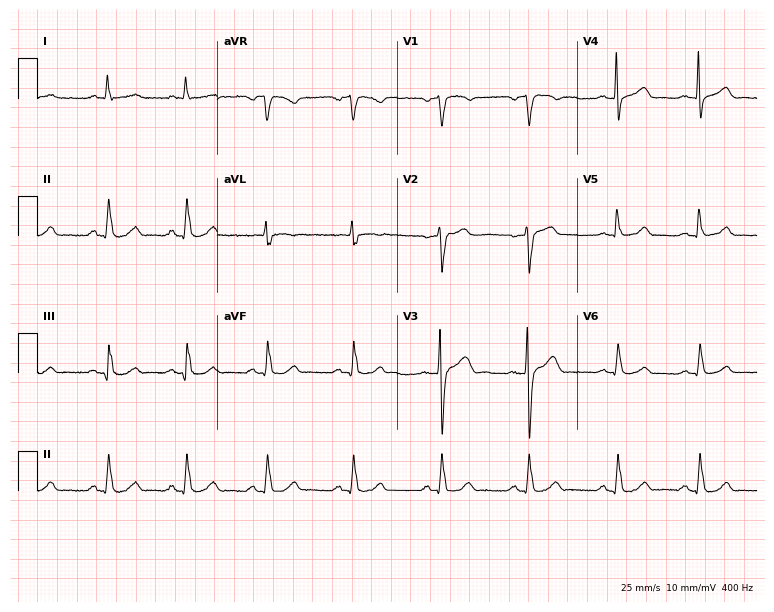
ECG (7.3-second recording at 400 Hz) — a male, 51 years old. Labelled as a normal ECG.